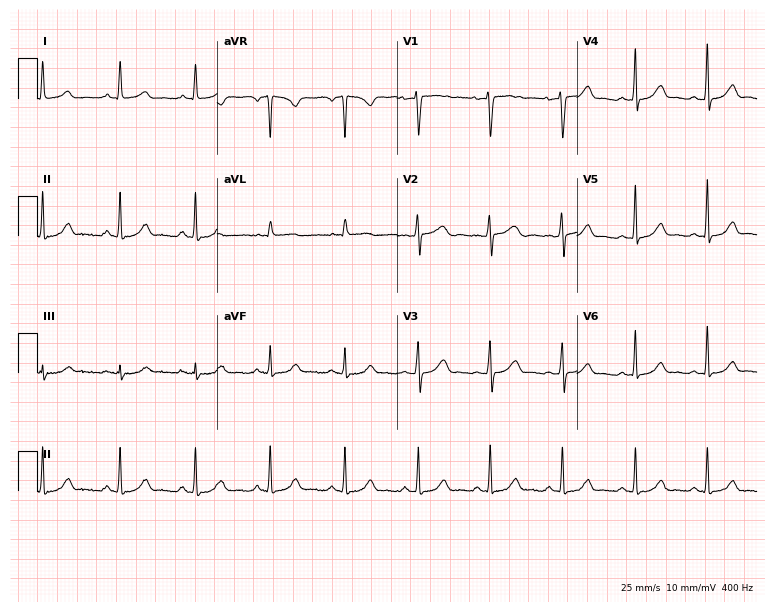
Resting 12-lead electrocardiogram (7.3-second recording at 400 Hz). Patient: a 29-year-old female. Read as a normal ECG.